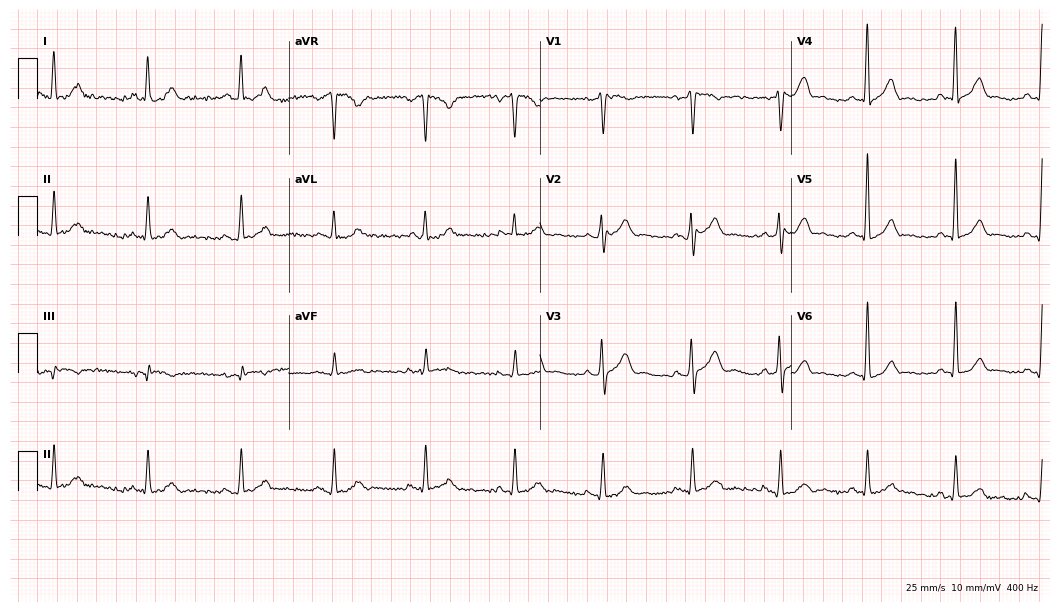
Resting 12-lead electrocardiogram. Patient: a male, 42 years old. Read as a normal ECG.